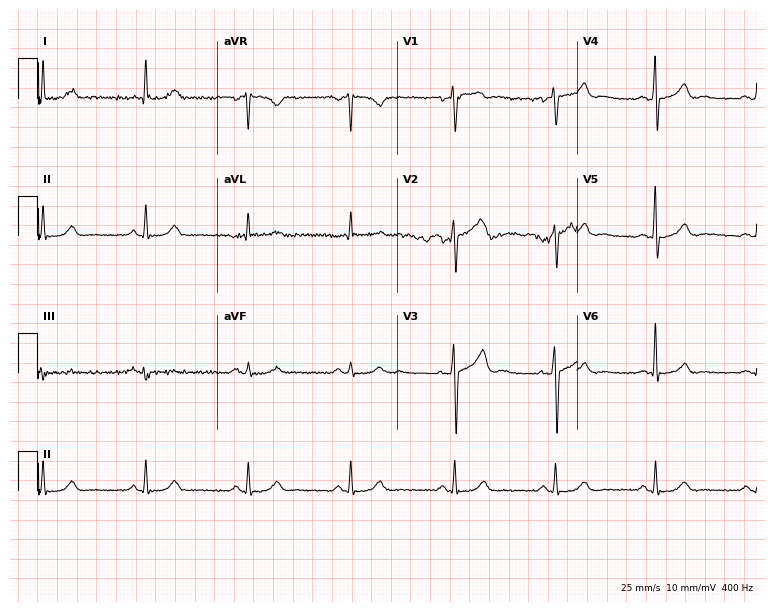
Electrocardiogram, a male patient, 62 years old. Overall reading on record: normal ECG.